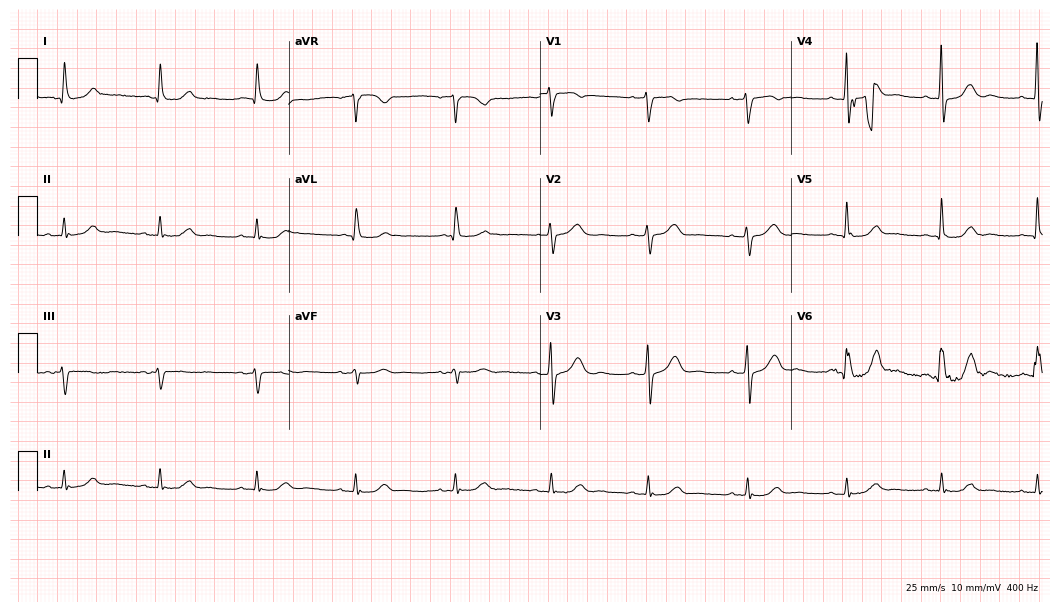
Resting 12-lead electrocardiogram. Patient: an 81-year-old female. None of these six findings is recorded: first-degree AV block, right bundle branch block, left bundle branch block, sinus bradycardia, atrial fibrillation, sinus tachycardia.